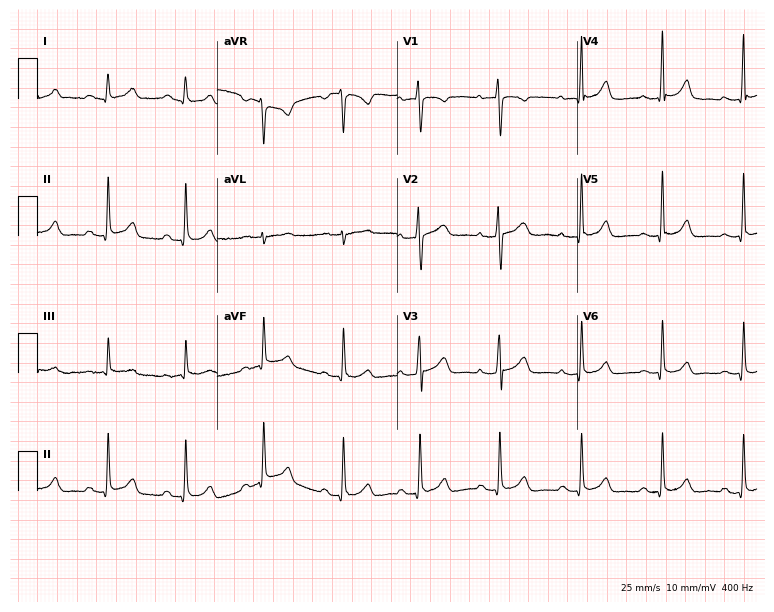
12-lead ECG (7.3-second recording at 400 Hz) from a 20-year-old female. Screened for six findings — first-degree AV block, right bundle branch block (RBBB), left bundle branch block (LBBB), sinus bradycardia, atrial fibrillation (AF), sinus tachycardia — none is recorded.